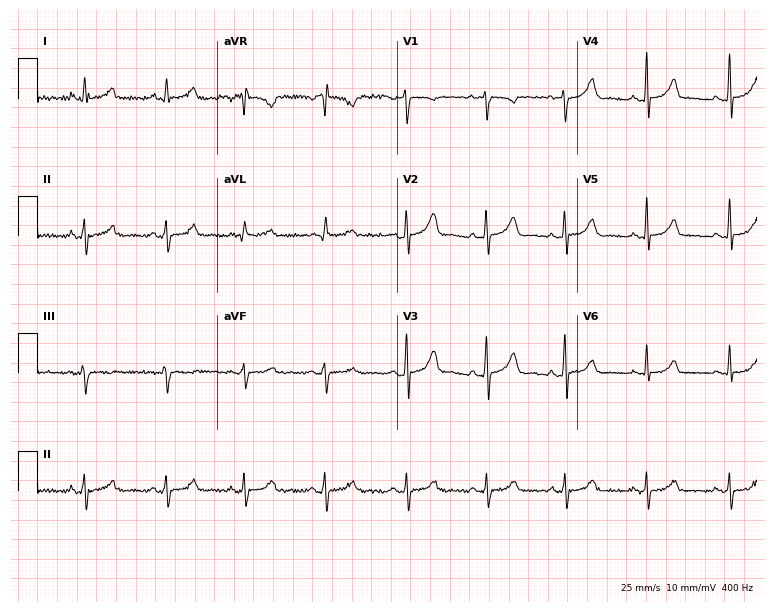
ECG (7.3-second recording at 400 Hz) — a female patient, 36 years old. Labelled as a normal ECG.